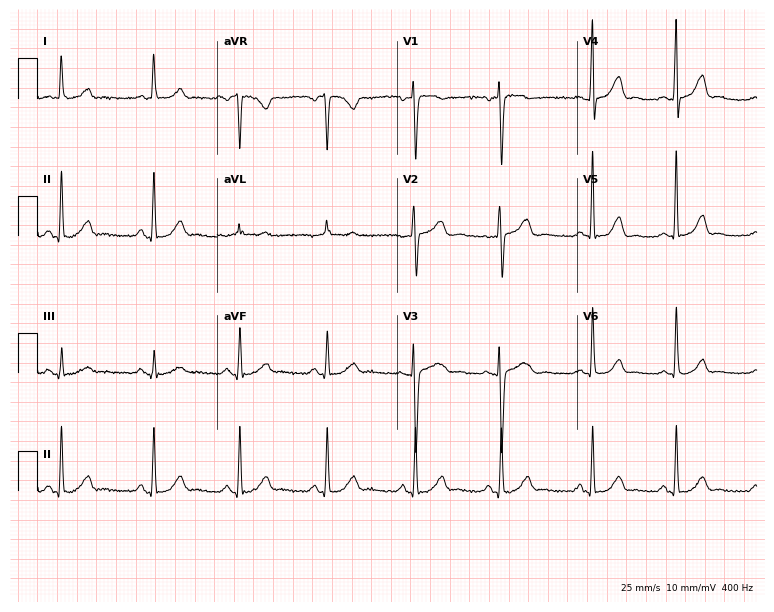
Resting 12-lead electrocardiogram (7.3-second recording at 400 Hz). Patient: a female, 41 years old. Read as a normal ECG.